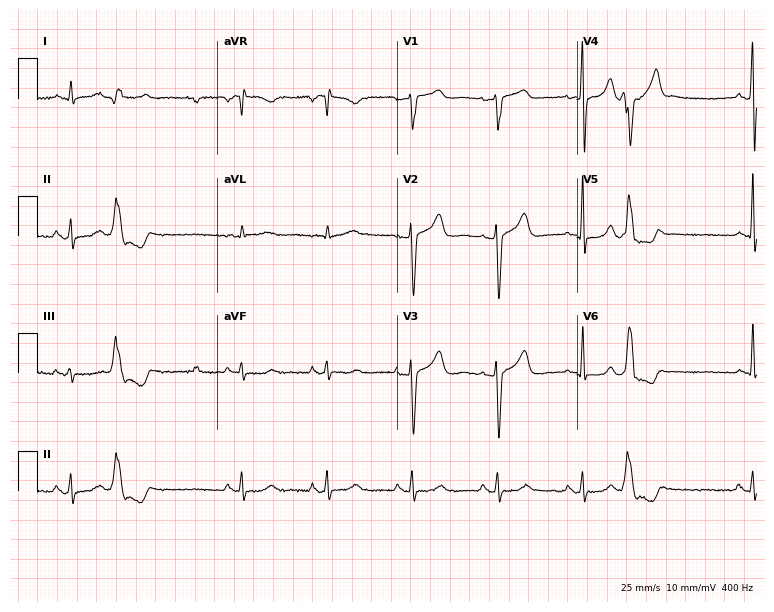
Standard 12-lead ECG recorded from a male patient, 68 years old. None of these six findings is recorded: first-degree AV block, right bundle branch block, left bundle branch block, sinus bradycardia, atrial fibrillation, sinus tachycardia.